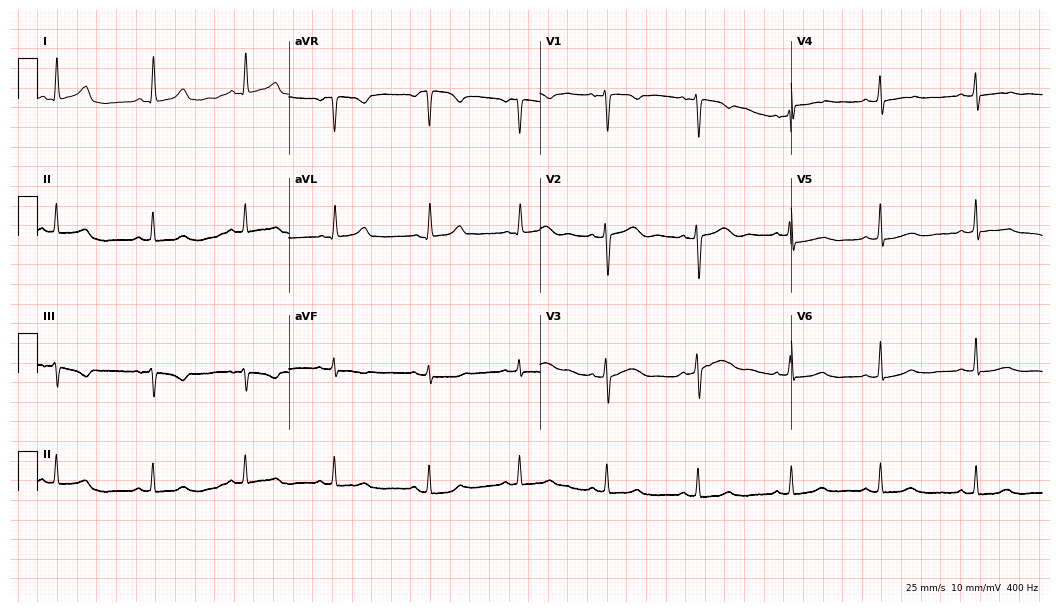
12-lead ECG from a female patient, 37 years old. Labelled as a normal ECG.